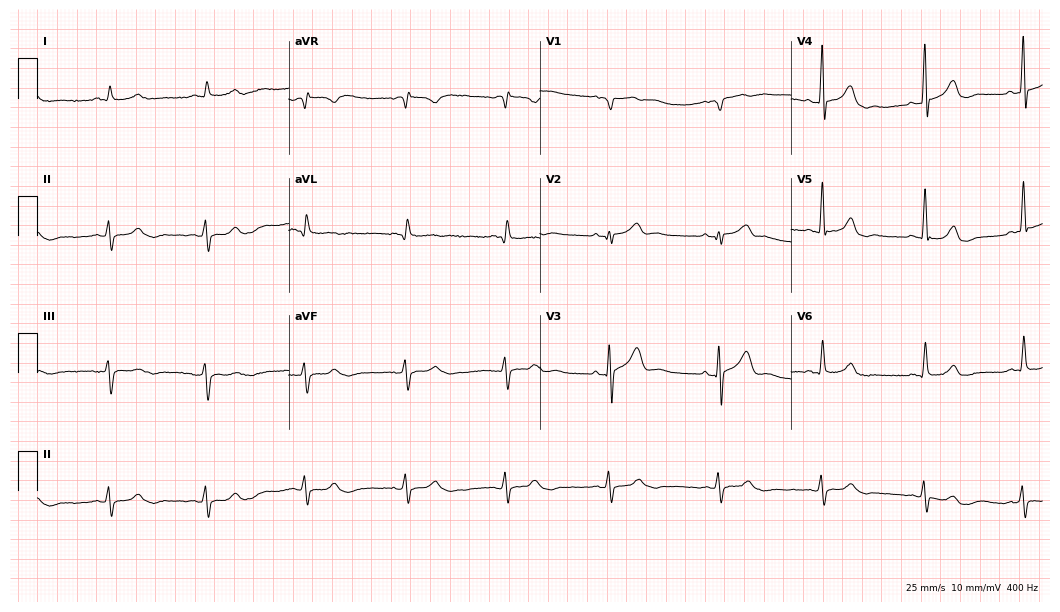
12-lead ECG from a 78-year-old male patient (10.2-second recording at 400 Hz). Recorded interpretation: within normal limits.